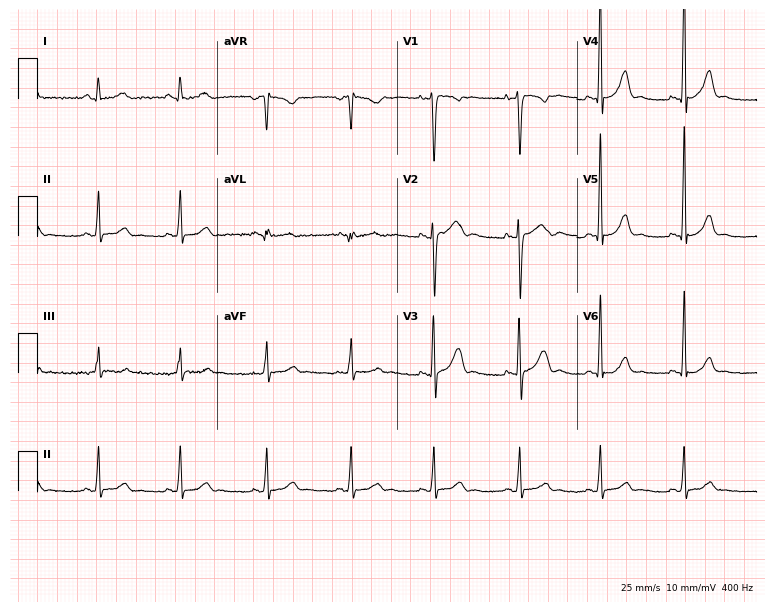
12-lead ECG (7.3-second recording at 400 Hz) from a male patient, 17 years old. Screened for six findings — first-degree AV block, right bundle branch block (RBBB), left bundle branch block (LBBB), sinus bradycardia, atrial fibrillation (AF), sinus tachycardia — none is recorded.